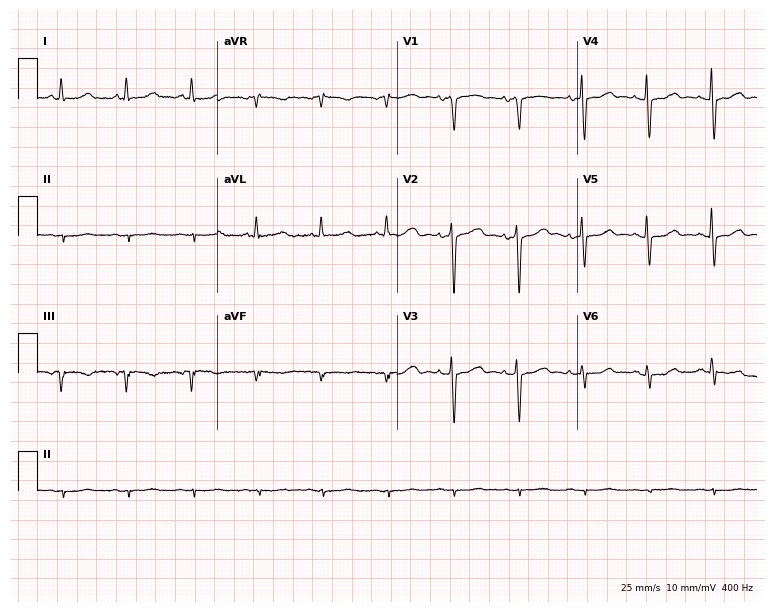
12-lead ECG from a 76-year-old woman. No first-degree AV block, right bundle branch block, left bundle branch block, sinus bradycardia, atrial fibrillation or sinus tachycardia recorded for this tracing.